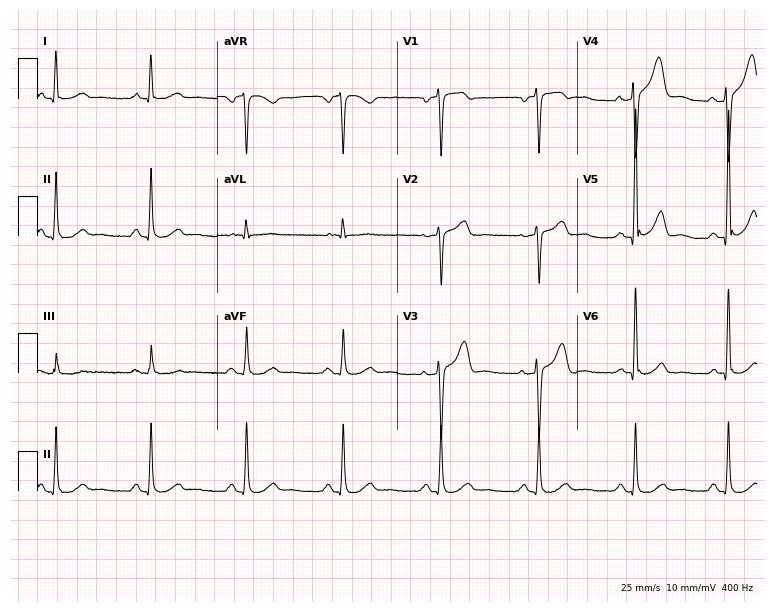
Resting 12-lead electrocardiogram. Patient: a male, 61 years old. None of these six findings is recorded: first-degree AV block, right bundle branch block, left bundle branch block, sinus bradycardia, atrial fibrillation, sinus tachycardia. Other findings, if any, are not listed.